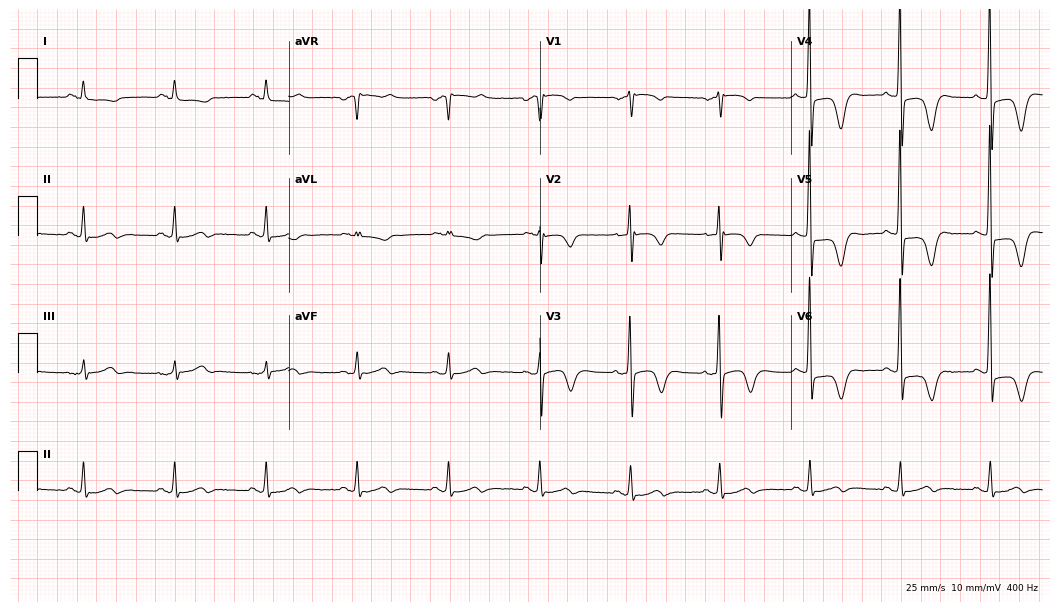
12-lead ECG from a woman, 75 years old. Screened for six findings — first-degree AV block, right bundle branch block, left bundle branch block, sinus bradycardia, atrial fibrillation, sinus tachycardia — none is recorded. Only these six findings were labelled.